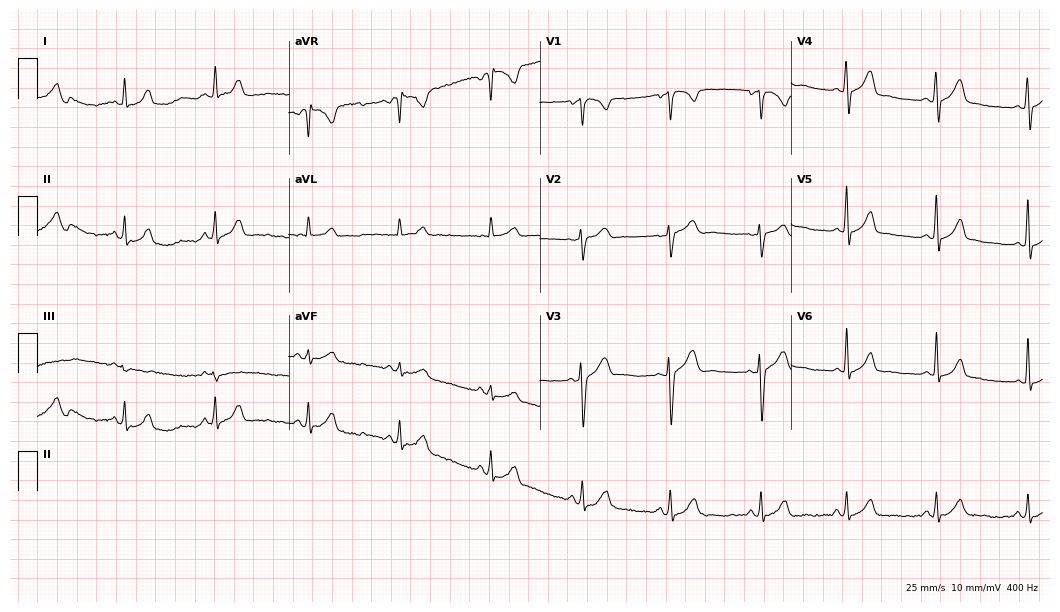
ECG — a 32-year-old woman. Labelled as a normal ECG.